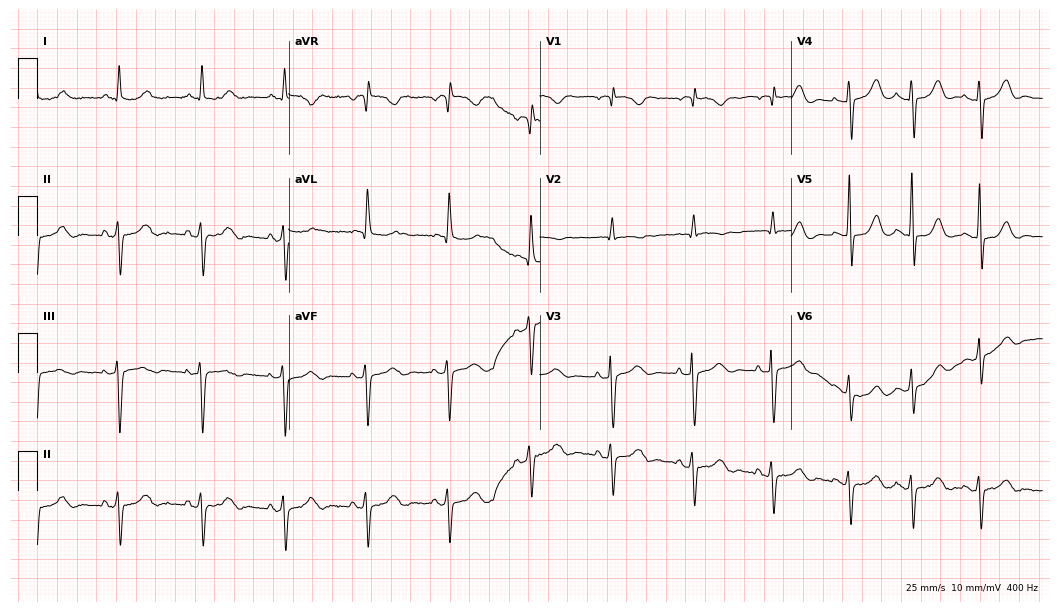
ECG — a female, 84 years old. Screened for six findings — first-degree AV block, right bundle branch block (RBBB), left bundle branch block (LBBB), sinus bradycardia, atrial fibrillation (AF), sinus tachycardia — none is recorded. Other findings, if any, are not listed.